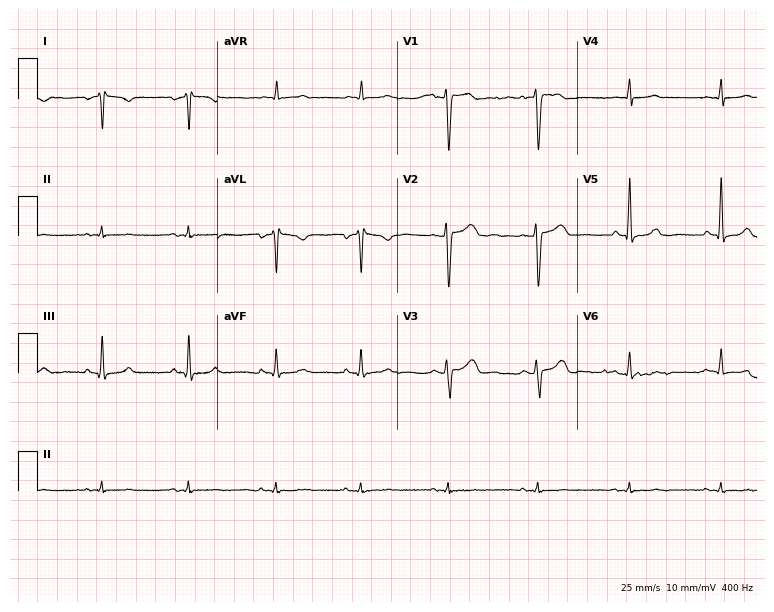
Standard 12-lead ECG recorded from a 52-year-old female. None of these six findings is recorded: first-degree AV block, right bundle branch block, left bundle branch block, sinus bradycardia, atrial fibrillation, sinus tachycardia.